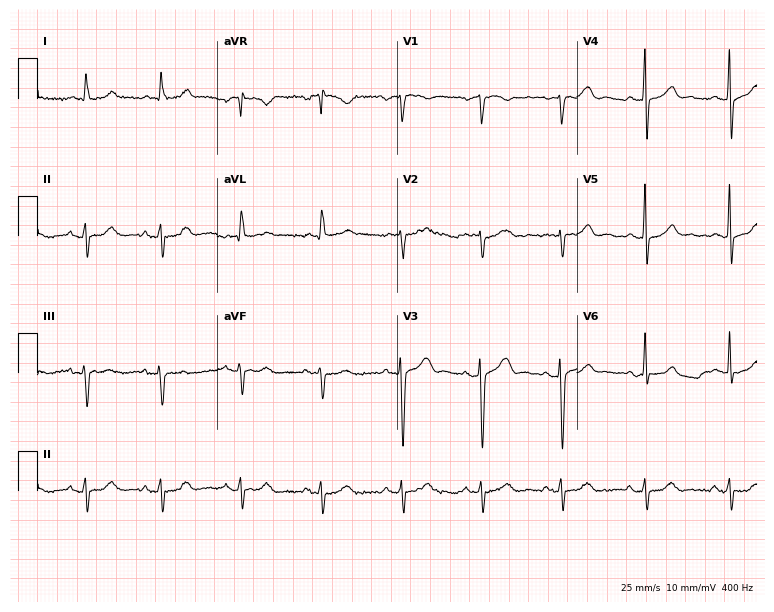
Resting 12-lead electrocardiogram. Patient: a 61-year-old male. None of these six findings is recorded: first-degree AV block, right bundle branch block, left bundle branch block, sinus bradycardia, atrial fibrillation, sinus tachycardia. Findings outside these six are not listed.